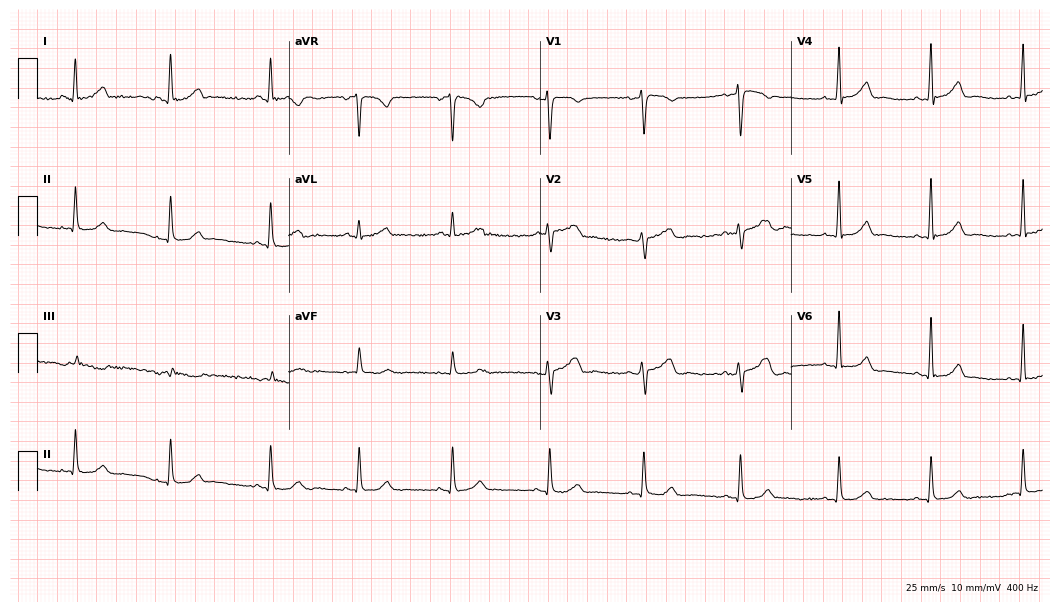
Standard 12-lead ECG recorded from a 47-year-old woman (10.2-second recording at 400 Hz). Read as a normal ECG.